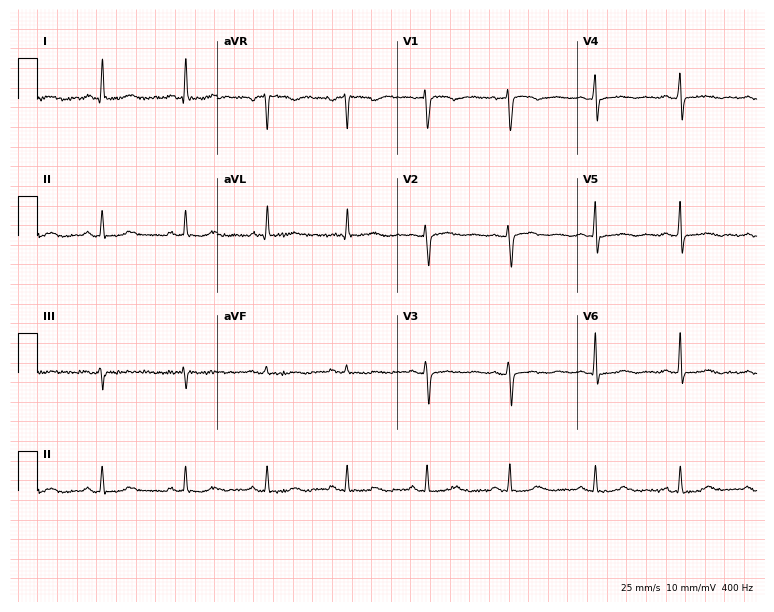
12-lead ECG from a female, 60 years old. No first-degree AV block, right bundle branch block, left bundle branch block, sinus bradycardia, atrial fibrillation or sinus tachycardia recorded for this tracing. Findings outside these six are not listed.